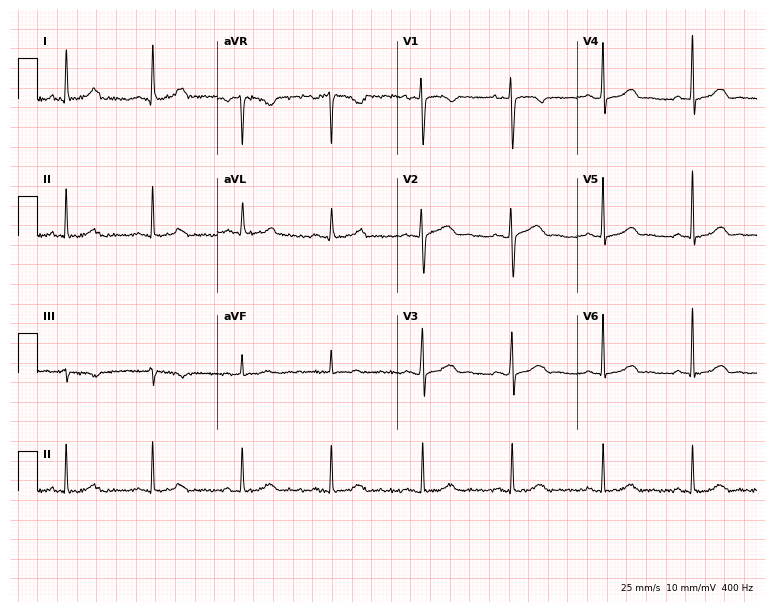
12-lead ECG from a 40-year-old female patient. Screened for six findings — first-degree AV block, right bundle branch block, left bundle branch block, sinus bradycardia, atrial fibrillation, sinus tachycardia — none is recorded.